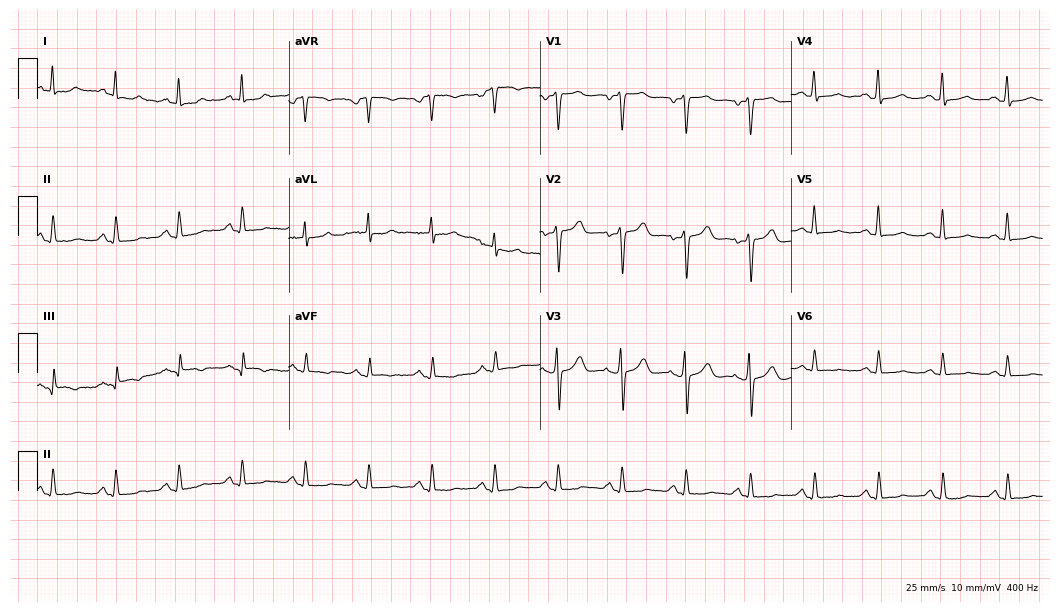
Resting 12-lead electrocardiogram (10.2-second recording at 400 Hz). Patient: a woman, 50 years old. None of these six findings is recorded: first-degree AV block, right bundle branch block, left bundle branch block, sinus bradycardia, atrial fibrillation, sinus tachycardia. Findings outside these six are not listed.